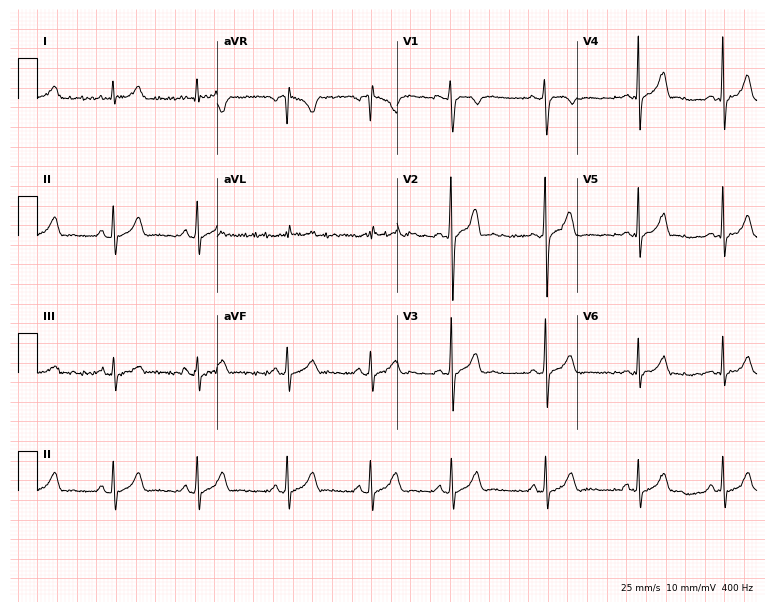
ECG — a man, 30 years old. Labelled as a normal ECG.